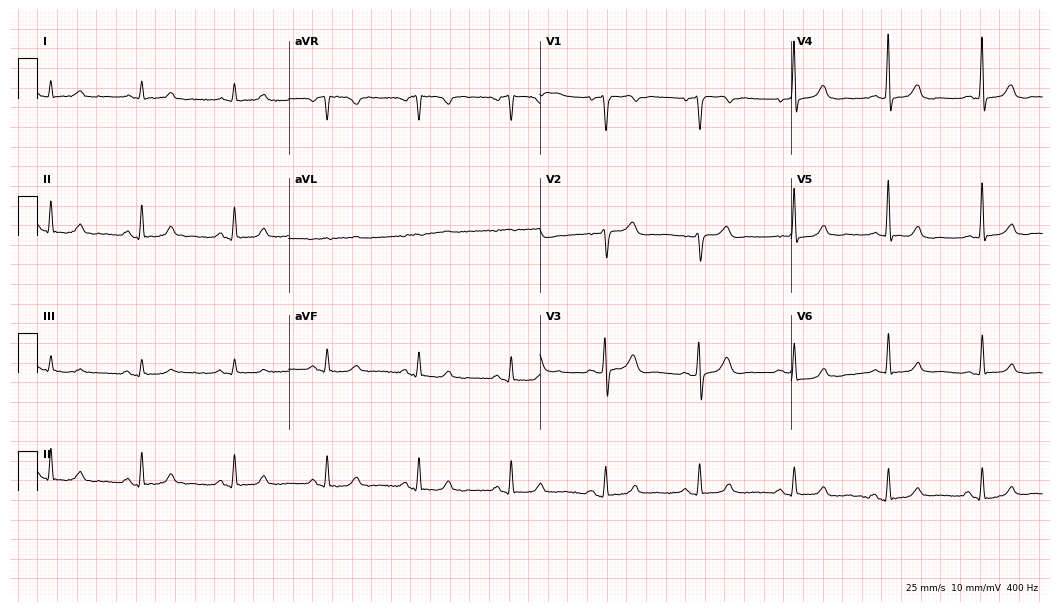
ECG — an 81-year-old male. Labelled as a normal ECG.